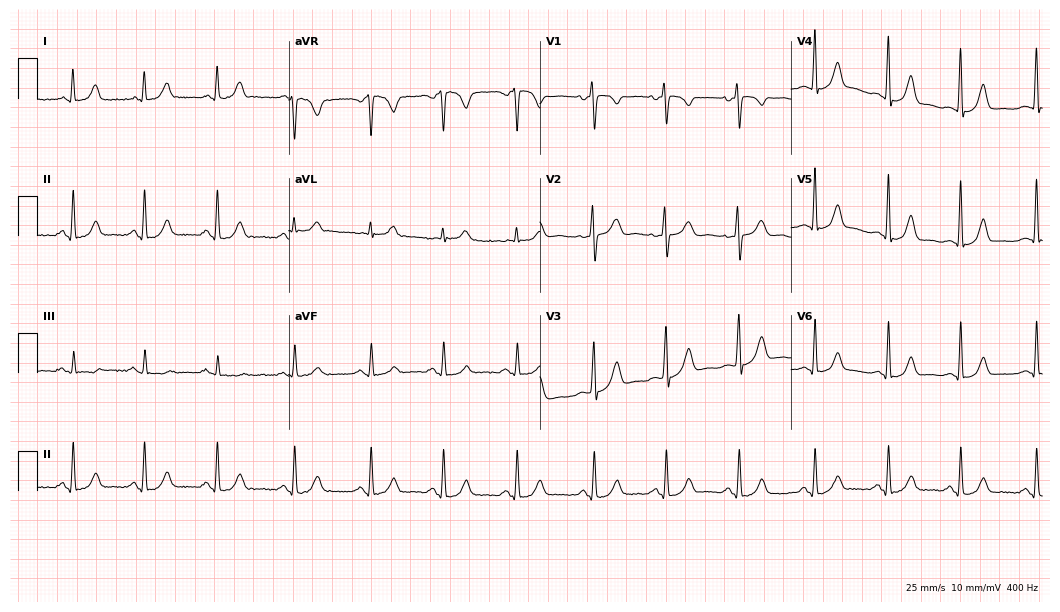
12-lead ECG from a man, 26 years old. Labelled as a normal ECG.